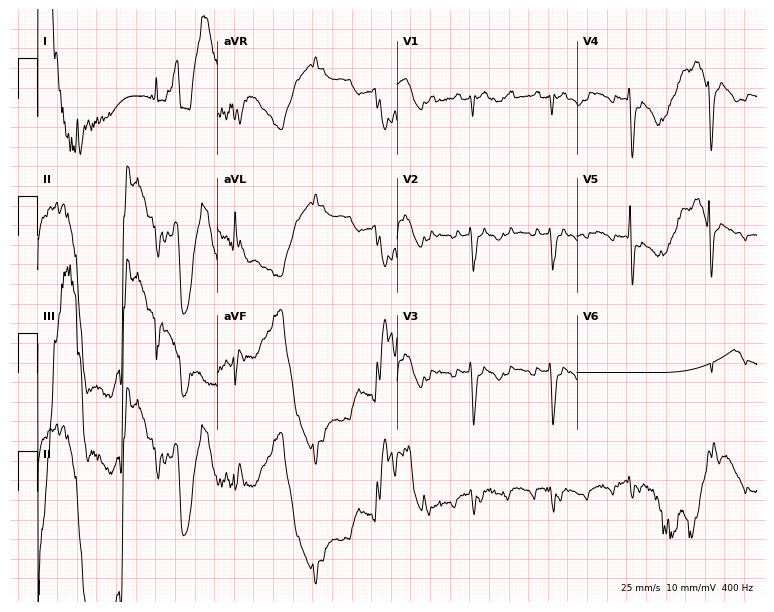
Electrocardiogram (7.3-second recording at 400 Hz), a man, 61 years old. Of the six screened findings (first-degree AV block, right bundle branch block, left bundle branch block, sinus bradycardia, atrial fibrillation, sinus tachycardia), none is recorded.